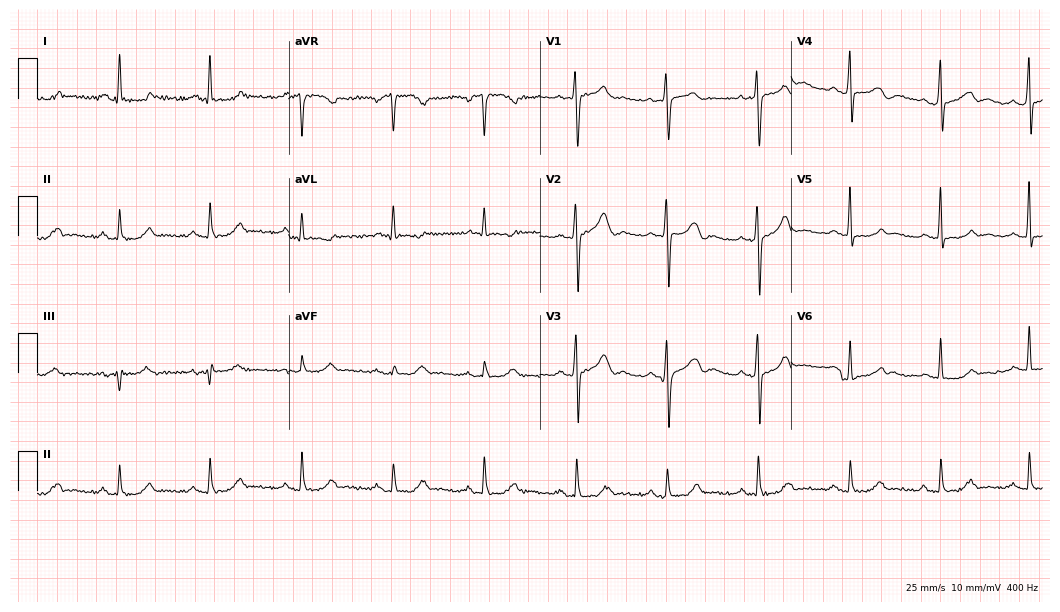
Standard 12-lead ECG recorded from a woman, 78 years old. Read as a normal ECG.